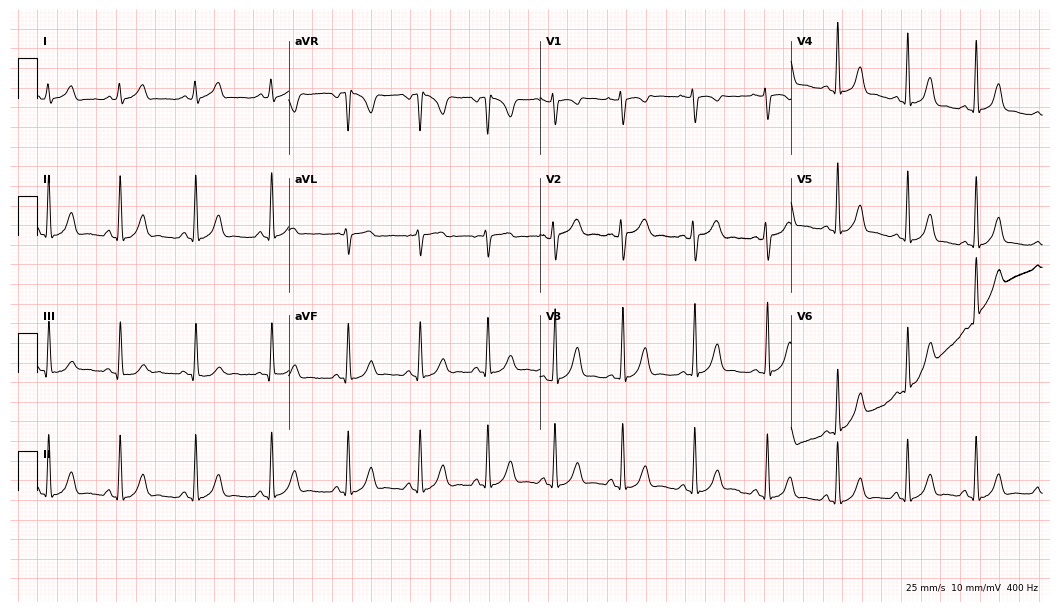
Resting 12-lead electrocardiogram (10.2-second recording at 400 Hz). Patient: a woman, 26 years old. None of these six findings is recorded: first-degree AV block, right bundle branch block, left bundle branch block, sinus bradycardia, atrial fibrillation, sinus tachycardia. Other findings, if any, are not listed.